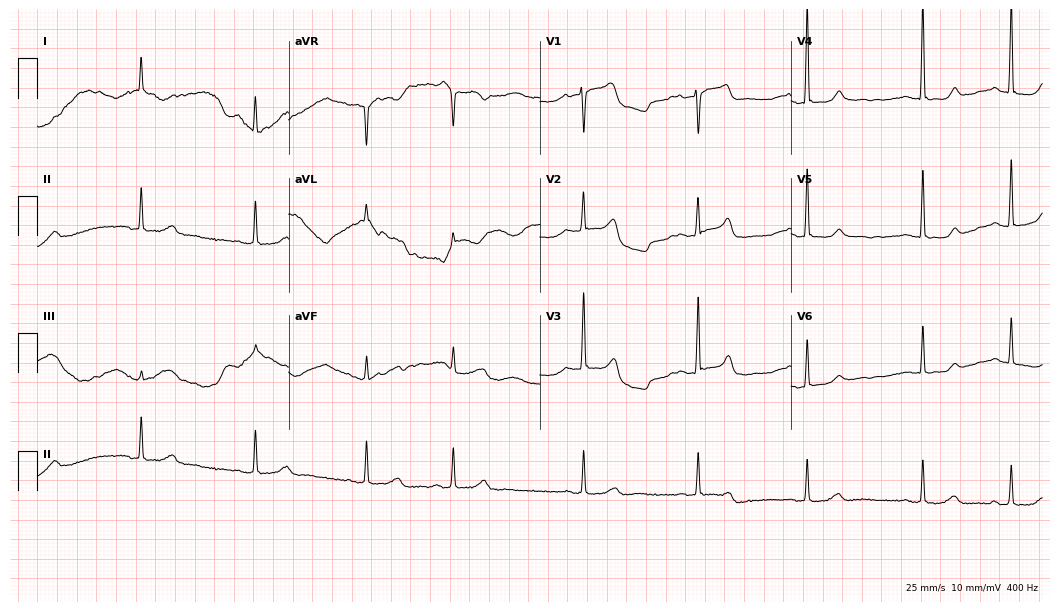
12-lead ECG (10.2-second recording at 400 Hz) from a 67-year-old female patient. Screened for six findings — first-degree AV block, right bundle branch block (RBBB), left bundle branch block (LBBB), sinus bradycardia, atrial fibrillation (AF), sinus tachycardia — none is recorded. Findings outside these six are not listed.